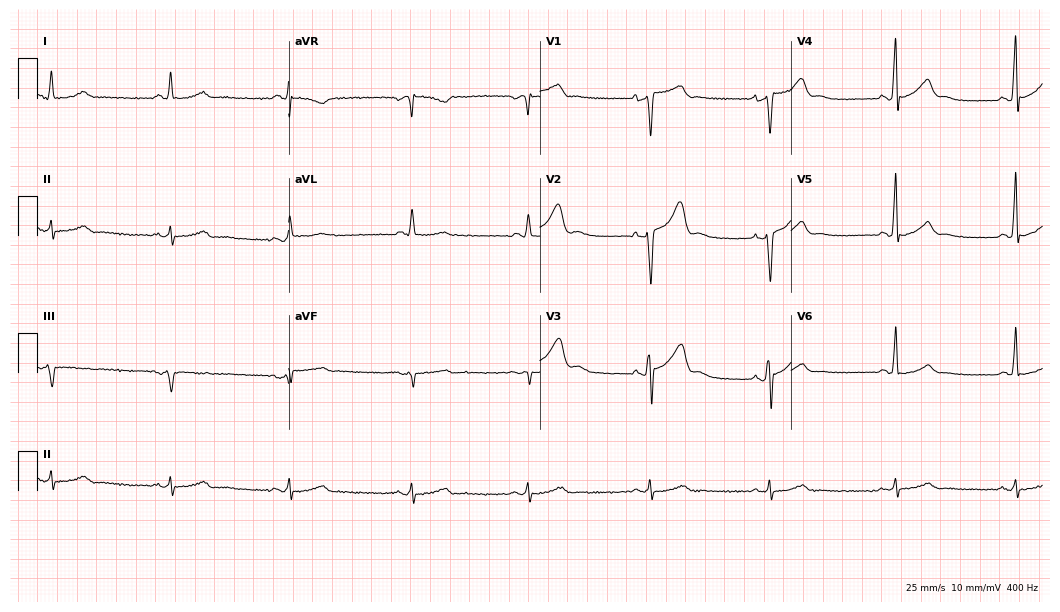
12-lead ECG from a man, 39 years old. Shows sinus bradycardia (a sinus rate of 50 beats per minute or less).